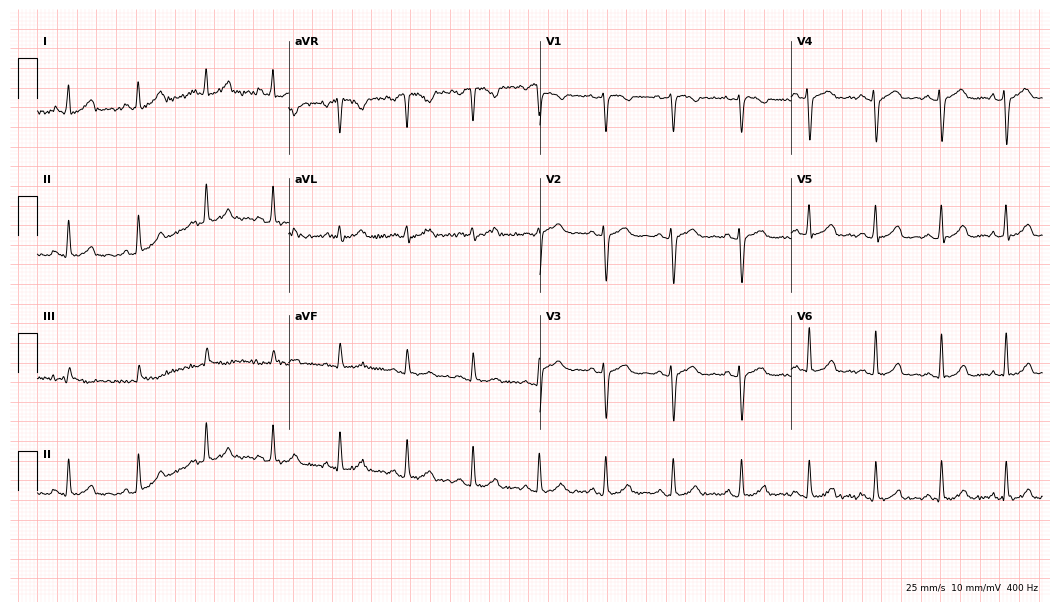
12-lead ECG from a female, 29 years old (10.2-second recording at 400 Hz). Recorded interpretation: within normal limits.